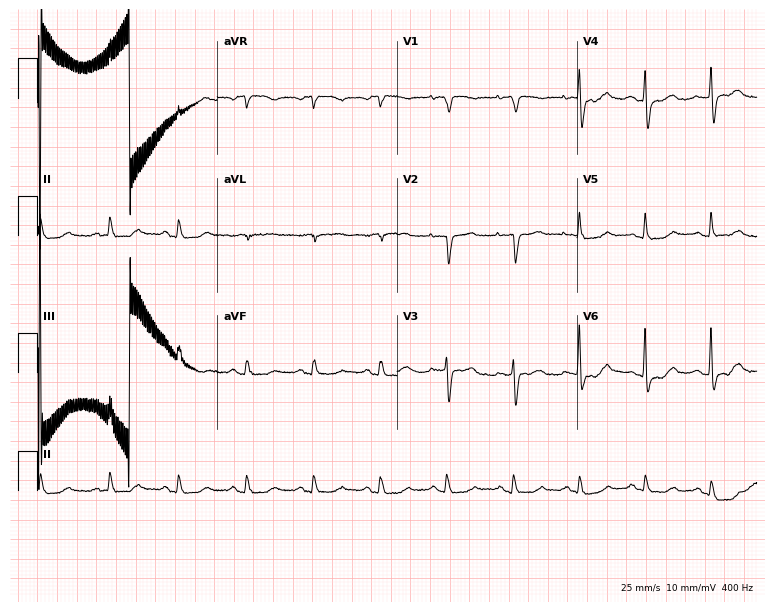
12-lead ECG (7.3-second recording at 400 Hz) from a 73-year-old female patient. Screened for six findings — first-degree AV block, right bundle branch block (RBBB), left bundle branch block (LBBB), sinus bradycardia, atrial fibrillation (AF), sinus tachycardia — none is recorded.